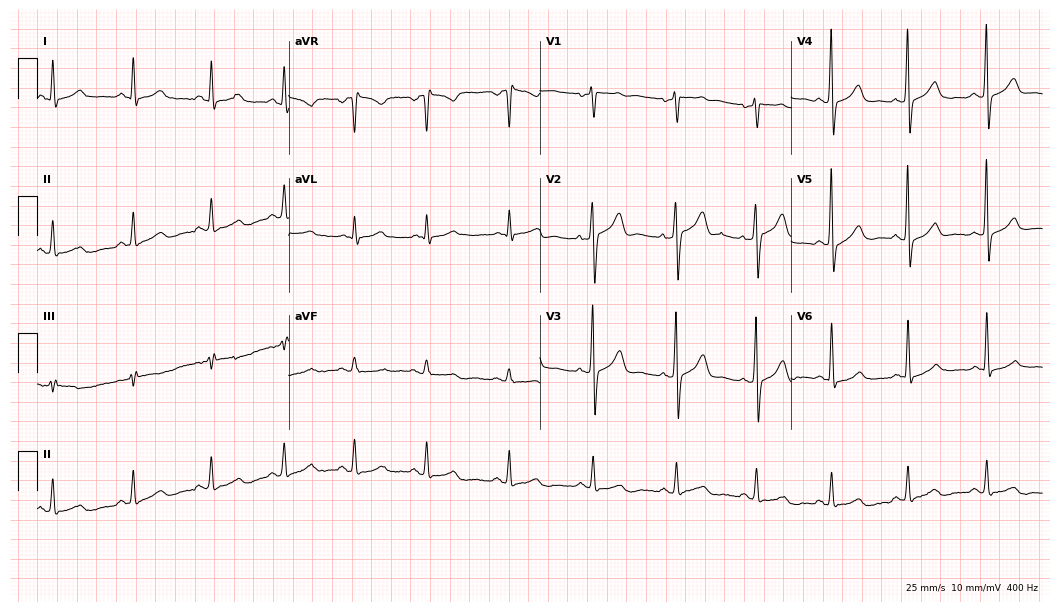
Resting 12-lead electrocardiogram (10.2-second recording at 400 Hz). Patient: a male, 60 years old. Read as a normal ECG.